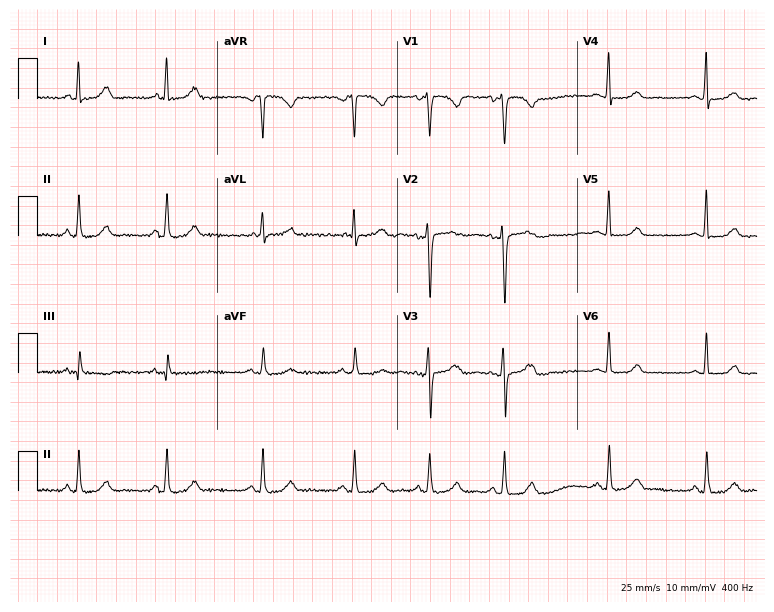
12-lead ECG from a female, 31 years old. Screened for six findings — first-degree AV block, right bundle branch block, left bundle branch block, sinus bradycardia, atrial fibrillation, sinus tachycardia — none is recorded.